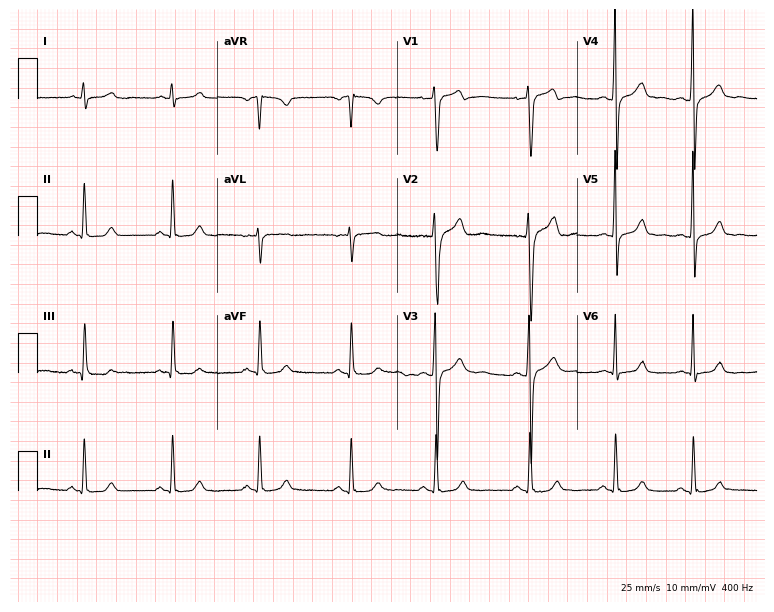
Electrocardiogram (7.3-second recording at 400 Hz), a male, 19 years old. Of the six screened findings (first-degree AV block, right bundle branch block, left bundle branch block, sinus bradycardia, atrial fibrillation, sinus tachycardia), none is recorded. Other findings, if any, are not listed.